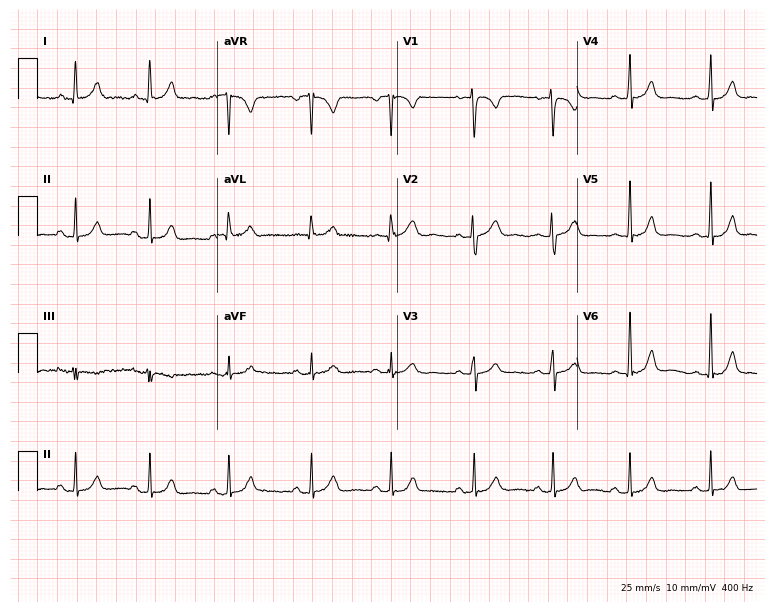
12-lead ECG from a female patient, 31 years old (7.3-second recording at 400 Hz). Recorded interpretation: within normal limits.